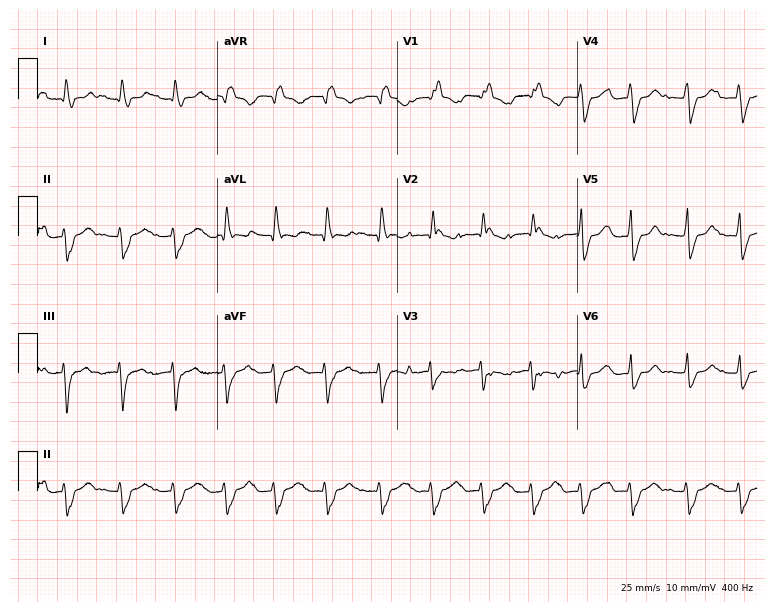
12-lead ECG from a 51-year-old female. Findings include right bundle branch block.